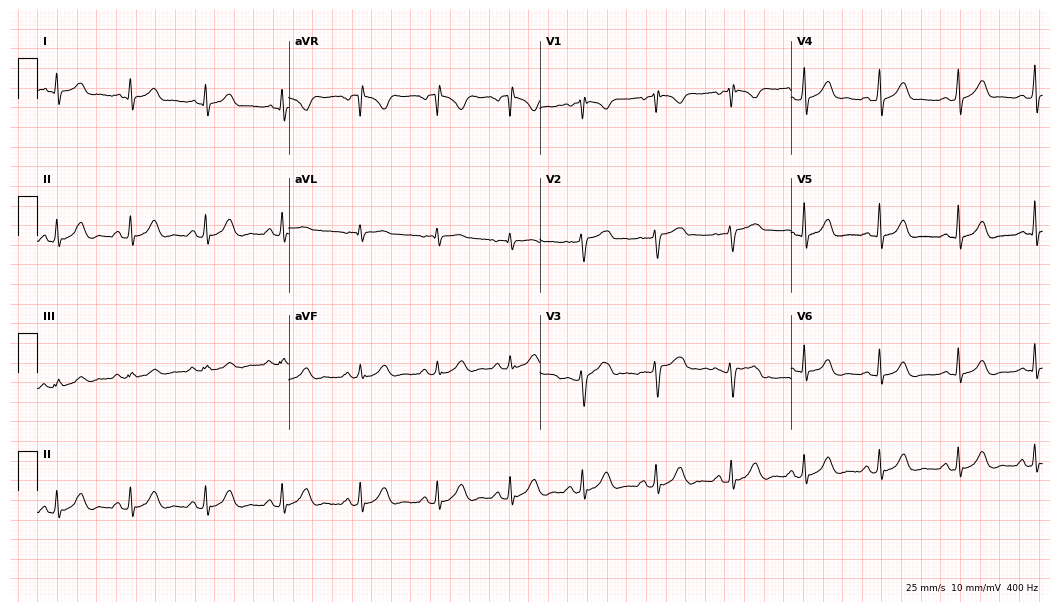
12-lead ECG from a 26-year-old female. No first-degree AV block, right bundle branch block, left bundle branch block, sinus bradycardia, atrial fibrillation or sinus tachycardia recorded for this tracing. Only these six findings were labelled.